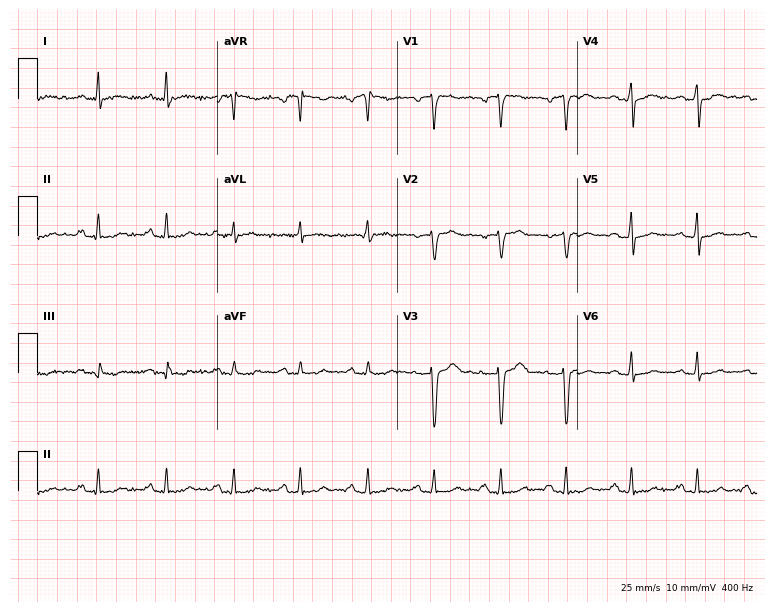
ECG (7.3-second recording at 400 Hz) — a woman, 74 years old. Screened for six findings — first-degree AV block, right bundle branch block (RBBB), left bundle branch block (LBBB), sinus bradycardia, atrial fibrillation (AF), sinus tachycardia — none is recorded.